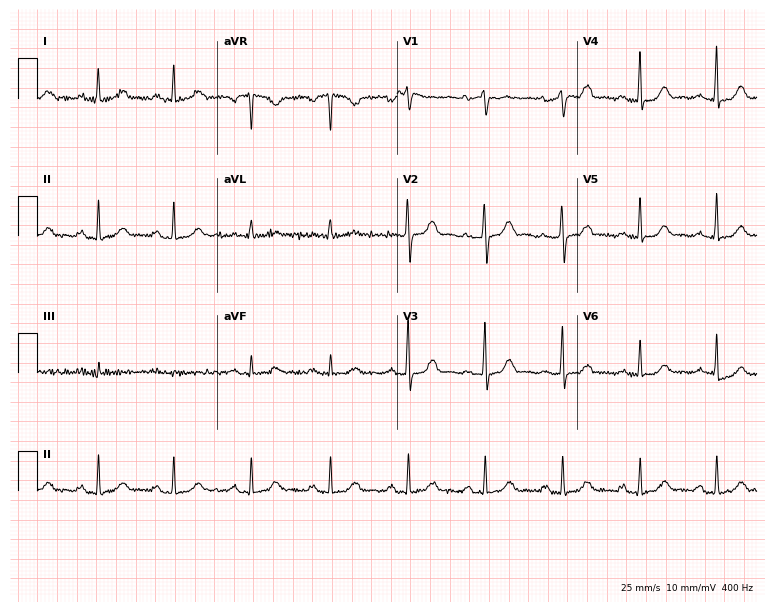
Electrocardiogram (7.3-second recording at 400 Hz), a woman, 56 years old. Overall reading on record: normal ECG.